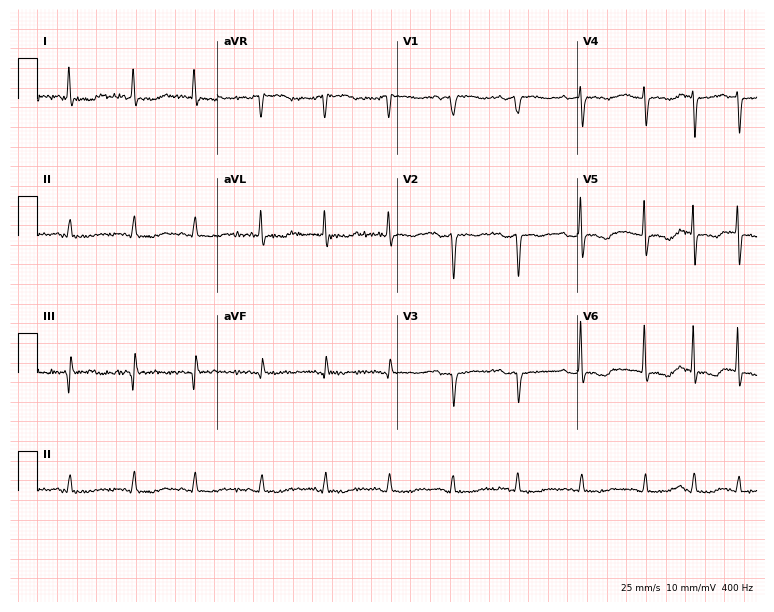
Standard 12-lead ECG recorded from an 83-year-old female (7.3-second recording at 400 Hz). None of these six findings is recorded: first-degree AV block, right bundle branch block, left bundle branch block, sinus bradycardia, atrial fibrillation, sinus tachycardia. Only these six findings were labelled.